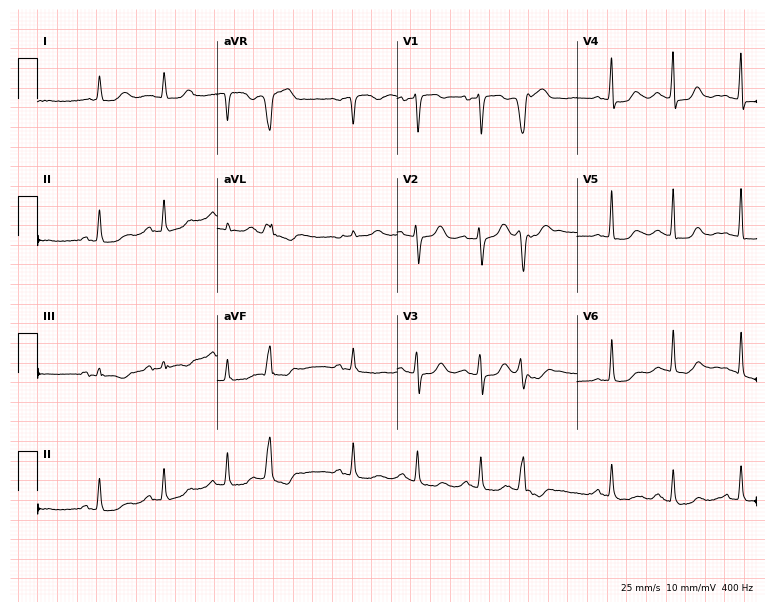
12-lead ECG (7.3-second recording at 400 Hz) from a female patient, 75 years old. Screened for six findings — first-degree AV block, right bundle branch block, left bundle branch block, sinus bradycardia, atrial fibrillation, sinus tachycardia — none is recorded. Only these six findings were labelled.